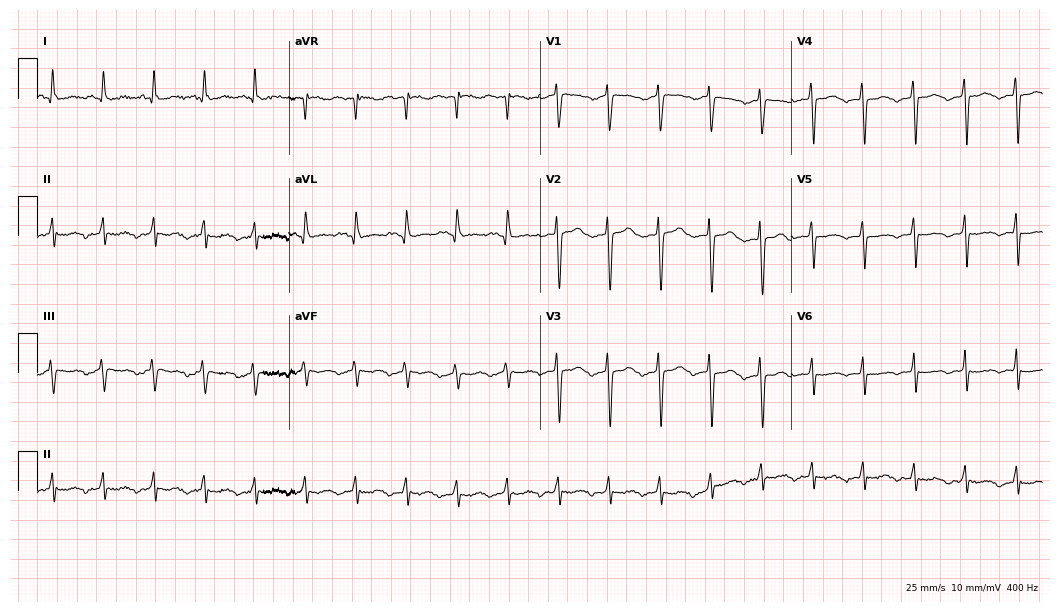
12-lead ECG from a 51-year-old female (10.2-second recording at 400 Hz). No first-degree AV block, right bundle branch block (RBBB), left bundle branch block (LBBB), sinus bradycardia, atrial fibrillation (AF) or sinus tachycardia recorded for this tracing.